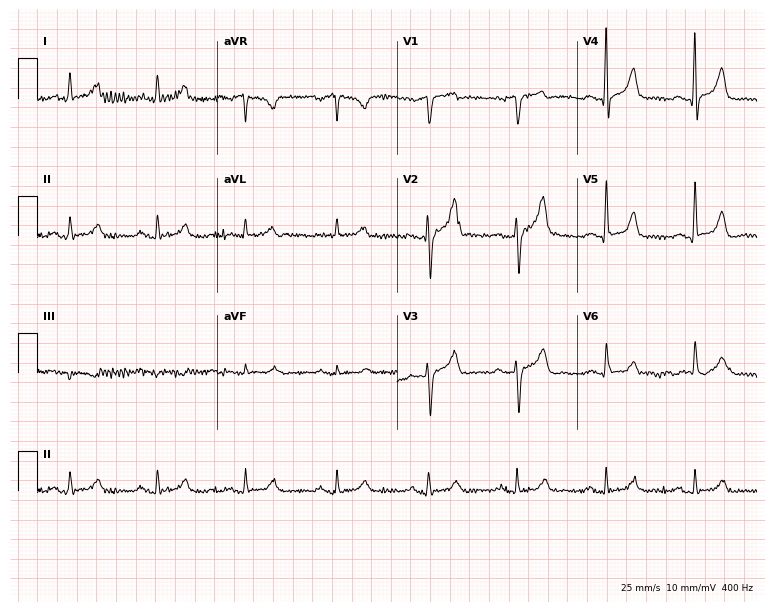
Standard 12-lead ECG recorded from a 63-year-old man (7.3-second recording at 400 Hz). Read as a normal ECG.